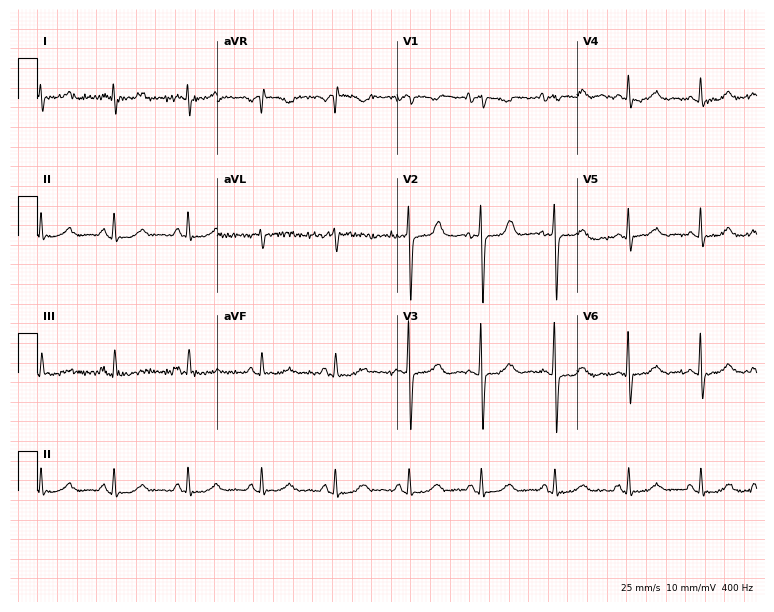
Resting 12-lead electrocardiogram (7.3-second recording at 400 Hz). Patient: a 71-year-old male. Read as a normal ECG.